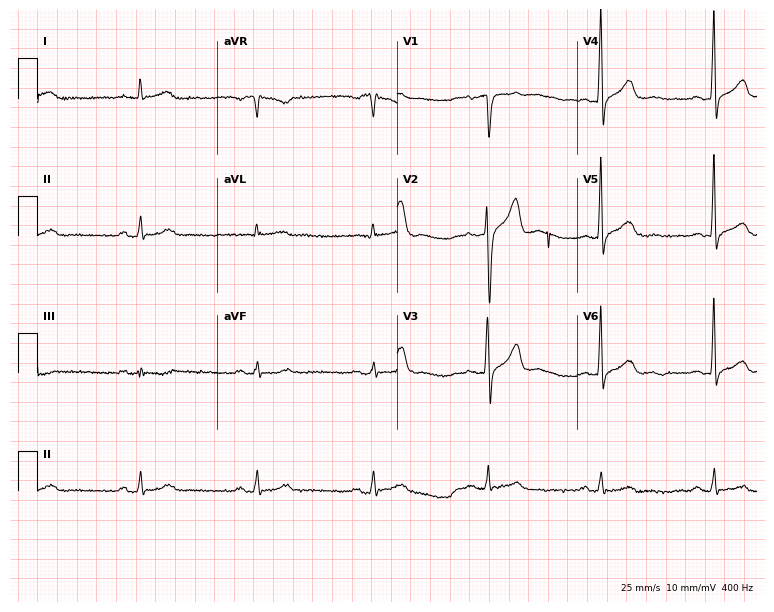
ECG (7.3-second recording at 400 Hz) — a male, 72 years old. Screened for six findings — first-degree AV block, right bundle branch block (RBBB), left bundle branch block (LBBB), sinus bradycardia, atrial fibrillation (AF), sinus tachycardia — none is recorded.